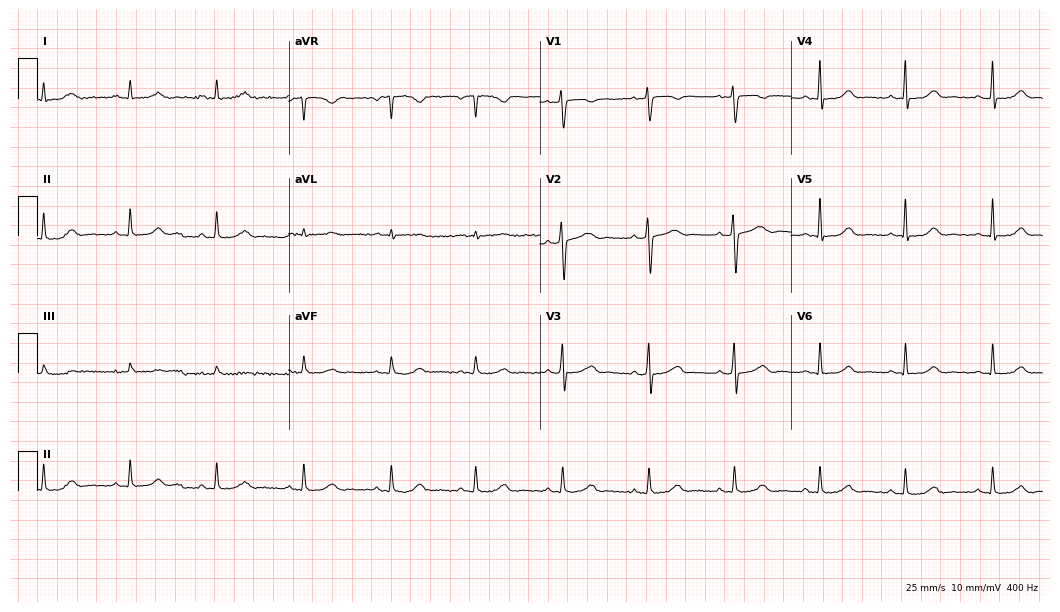
ECG (10.2-second recording at 400 Hz) — a female patient, 46 years old. Labelled as a normal ECG.